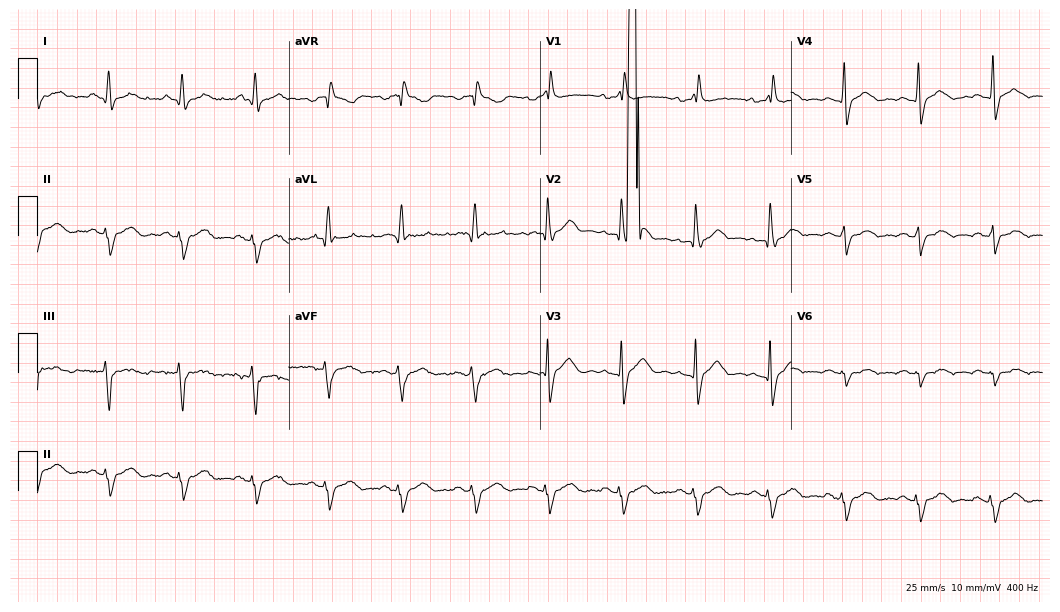
ECG (10.2-second recording at 400 Hz) — a 79-year-old male patient. Findings include right bundle branch block.